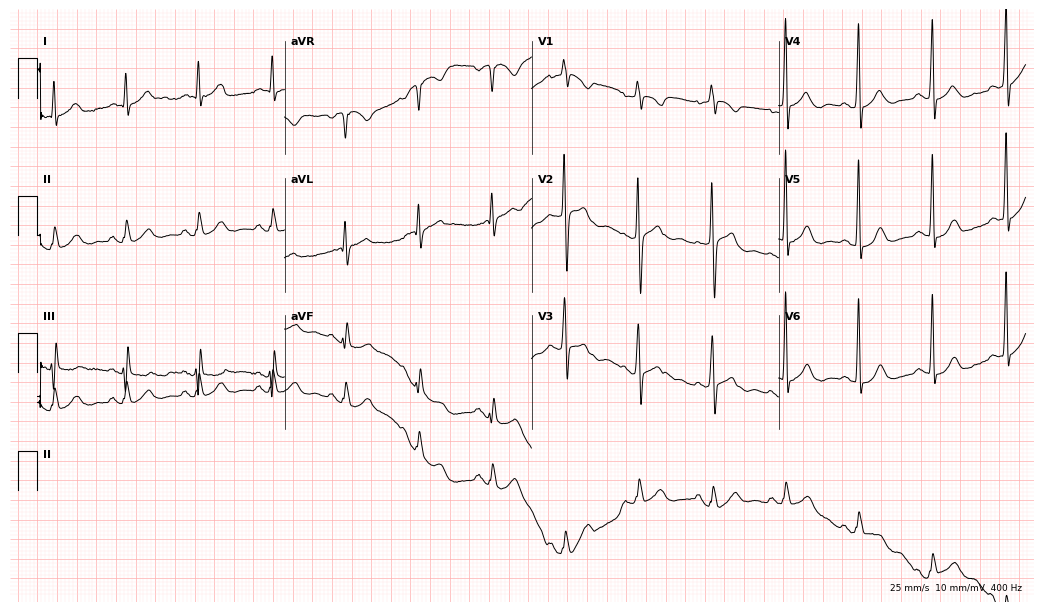
Resting 12-lead electrocardiogram (10.1-second recording at 400 Hz). Patient: a 54-year-old man. None of these six findings is recorded: first-degree AV block, right bundle branch block, left bundle branch block, sinus bradycardia, atrial fibrillation, sinus tachycardia. Other findings, if any, are not listed.